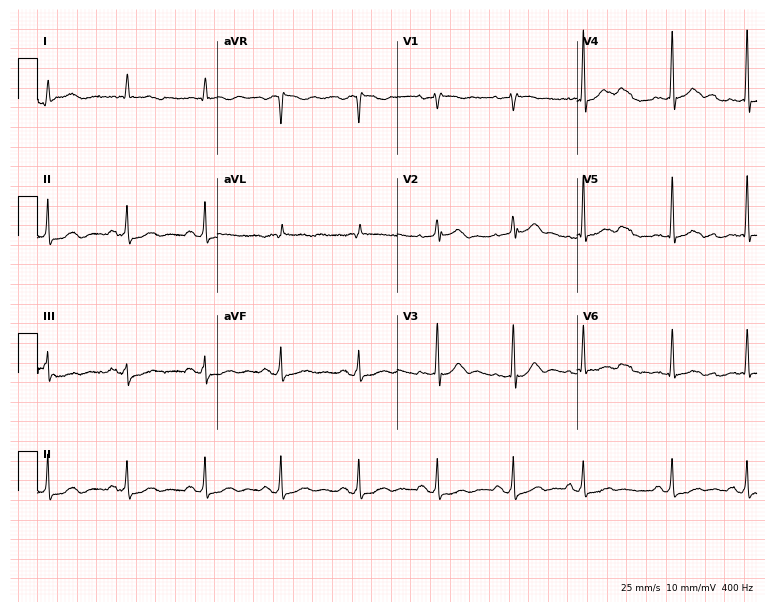
12-lead ECG from a male patient, 75 years old (7.3-second recording at 400 Hz). No first-degree AV block, right bundle branch block, left bundle branch block, sinus bradycardia, atrial fibrillation or sinus tachycardia recorded for this tracing. Only these six findings were labelled.